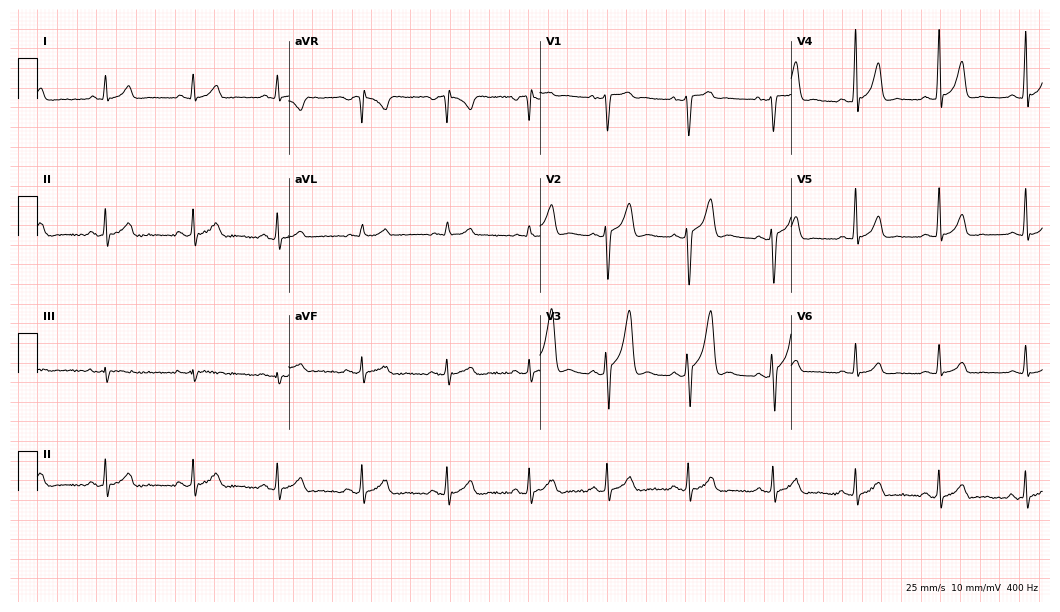
ECG — a man, 18 years old. Labelled as a normal ECG.